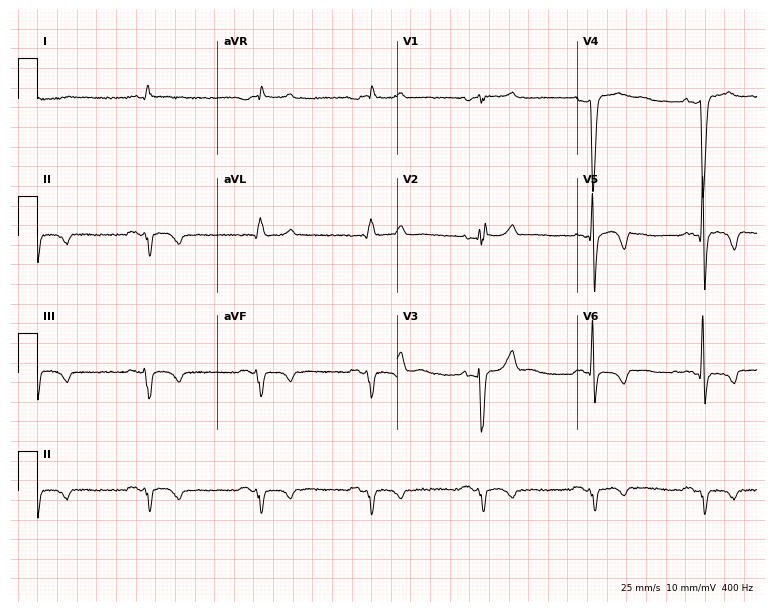
12-lead ECG from a 39-year-old man. No first-degree AV block, right bundle branch block, left bundle branch block, sinus bradycardia, atrial fibrillation or sinus tachycardia recorded for this tracing.